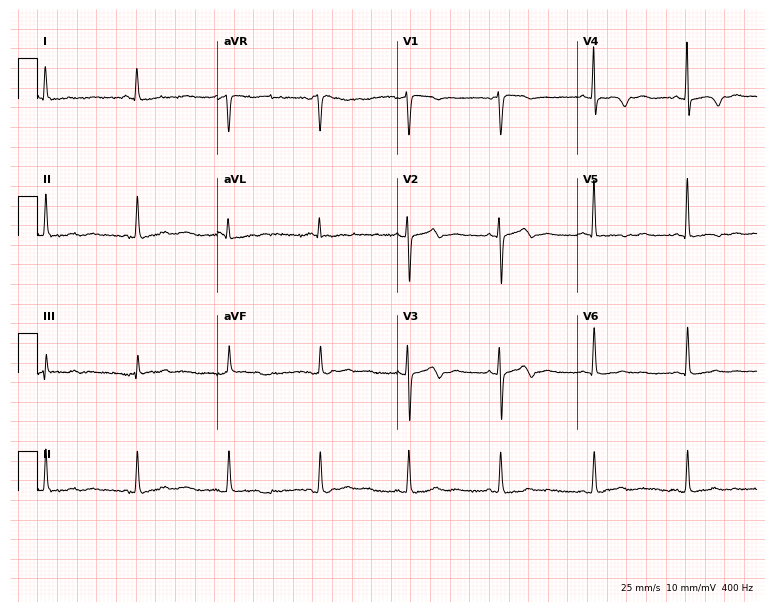
Resting 12-lead electrocardiogram. Patient: a female, 52 years old. None of these six findings is recorded: first-degree AV block, right bundle branch block (RBBB), left bundle branch block (LBBB), sinus bradycardia, atrial fibrillation (AF), sinus tachycardia.